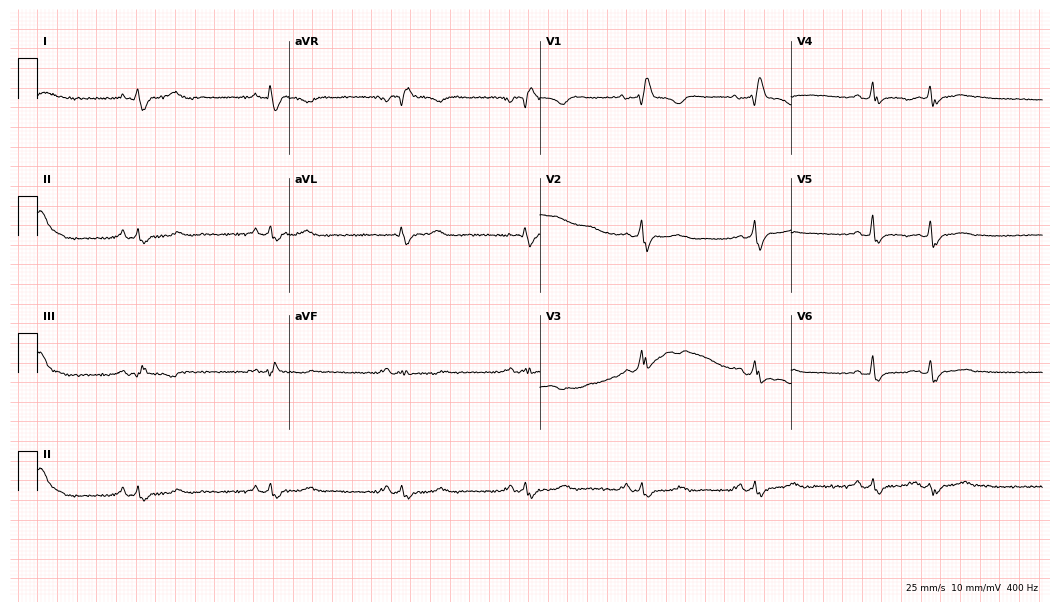
ECG — a 61-year-old female patient. Findings include right bundle branch block.